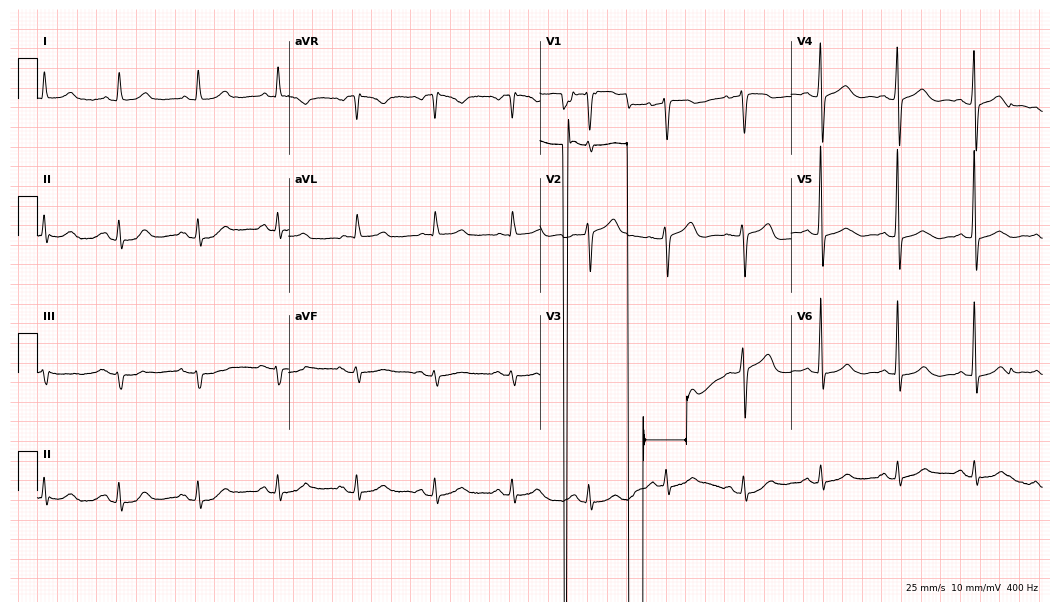
ECG — a female, 67 years old. Labelled as a normal ECG.